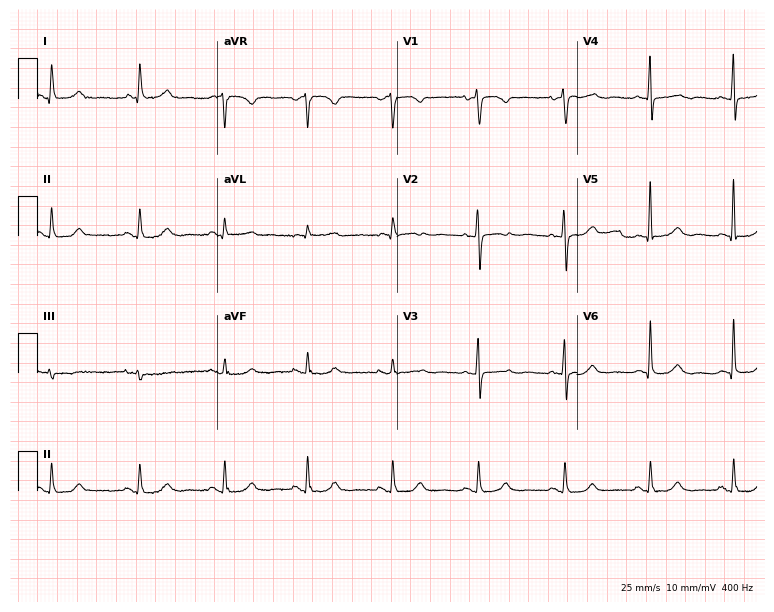
12-lead ECG from a female patient, 77 years old. No first-degree AV block, right bundle branch block, left bundle branch block, sinus bradycardia, atrial fibrillation or sinus tachycardia recorded for this tracing. Findings outside these six are not listed.